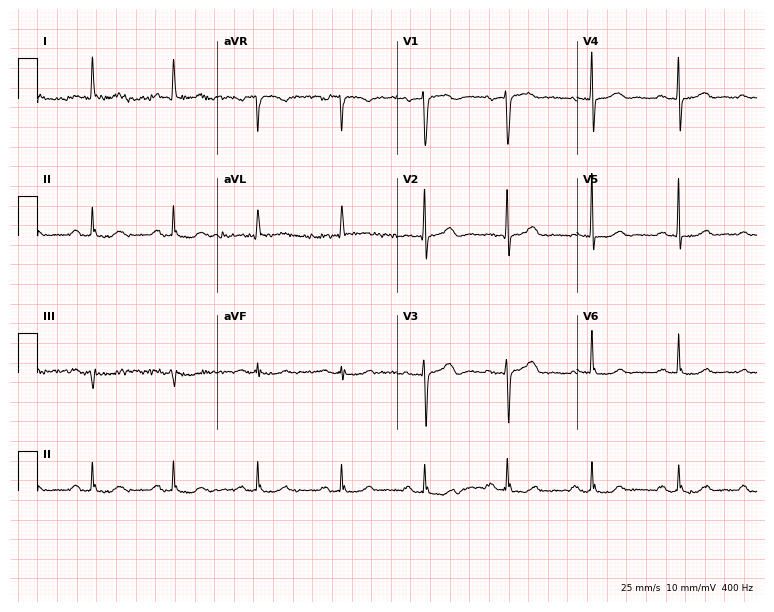
Electrocardiogram, a 75-year-old female patient. Of the six screened findings (first-degree AV block, right bundle branch block (RBBB), left bundle branch block (LBBB), sinus bradycardia, atrial fibrillation (AF), sinus tachycardia), none is recorded. Other findings, if any, are not listed.